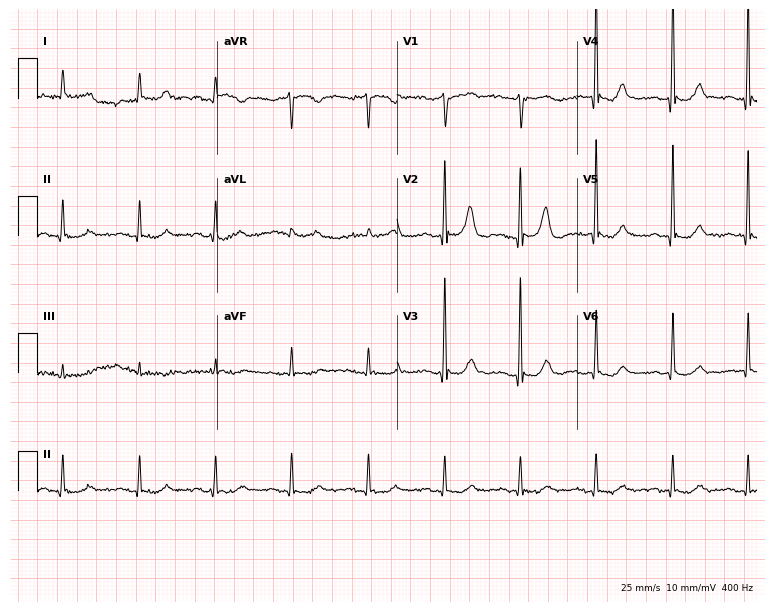
12-lead ECG from a 76-year-old female (7.3-second recording at 400 Hz). No first-degree AV block, right bundle branch block (RBBB), left bundle branch block (LBBB), sinus bradycardia, atrial fibrillation (AF) or sinus tachycardia recorded for this tracing. Findings outside these six are not listed.